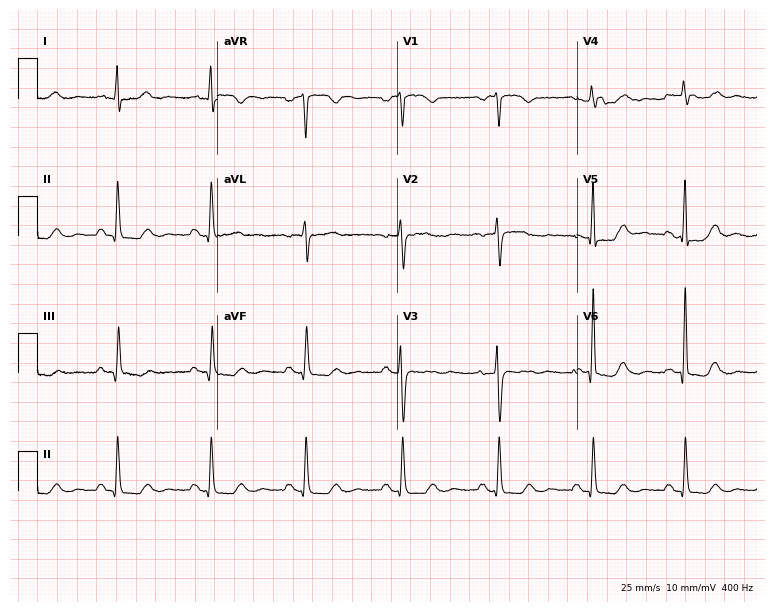
12-lead ECG from a female patient, 66 years old. Labelled as a normal ECG.